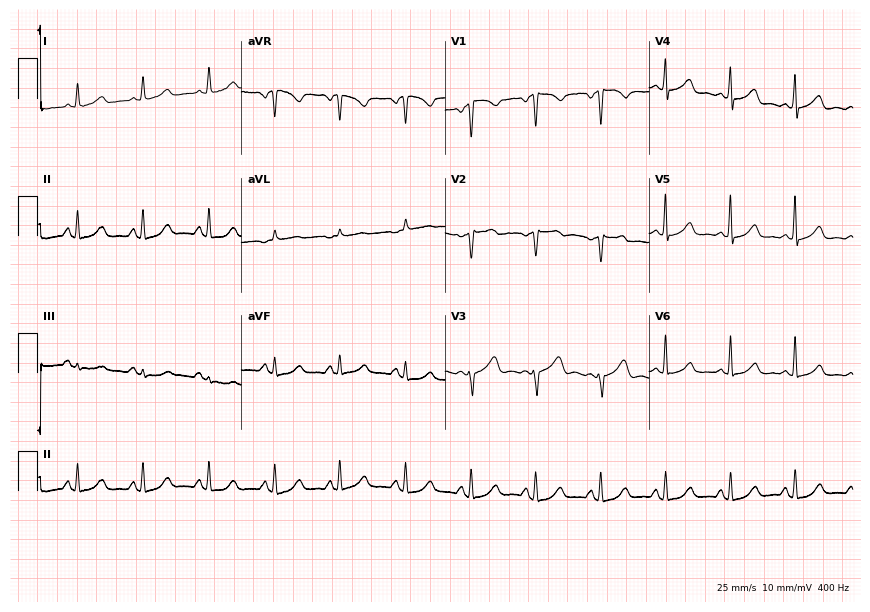
Resting 12-lead electrocardiogram. Patient: a woman, 44 years old. Read as a normal ECG.